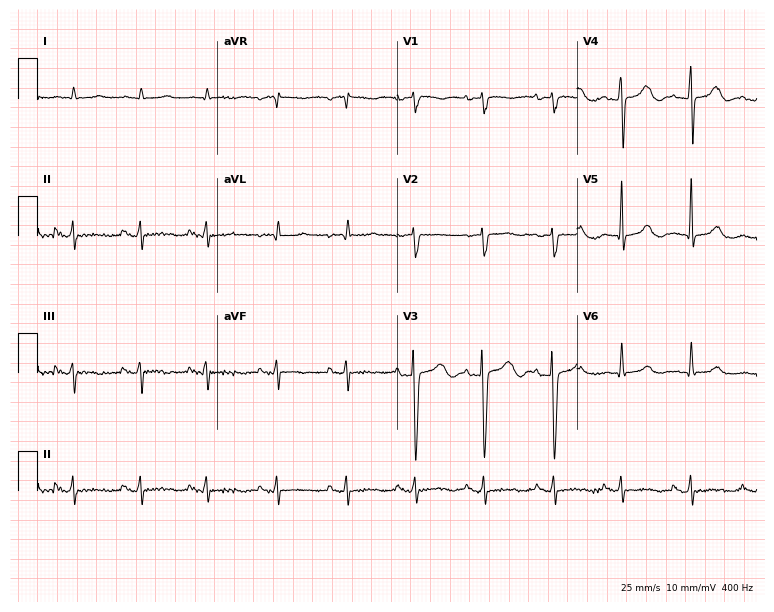
Standard 12-lead ECG recorded from an 80-year-old male (7.3-second recording at 400 Hz). None of these six findings is recorded: first-degree AV block, right bundle branch block (RBBB), left bundle branch block (LBBB), sinus bradycardia, atrial fibrillation (AF), sinus tachycardia.